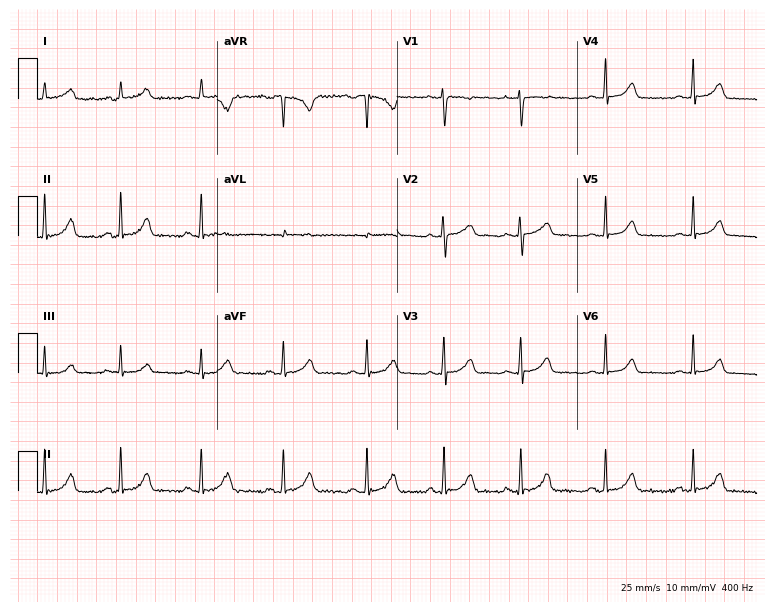
12-lead ECG (7.3-second recording at 400 Hz) from a female patient, 23 years old. Screened for six findings — first-degree AV block, right bundle branch block, left bundle branch block, sinus bradycardia, atrial fibrillation, sinus tachycardia — none is recorded. Other findings, if any, are not listed.